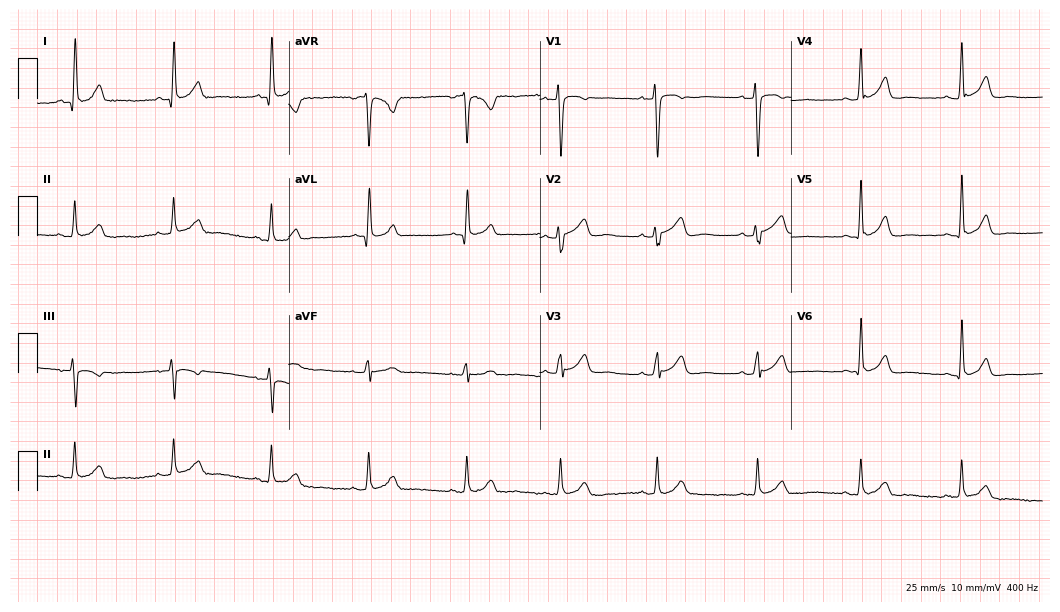
Electrocardiogram, a female, 47 years old. Of the six screened findings (first-degree AV block, right bundle branch block, left bundle branch block, sinus bradycardia, atrial fibrillation, sinus tachycardia), none is recorded.